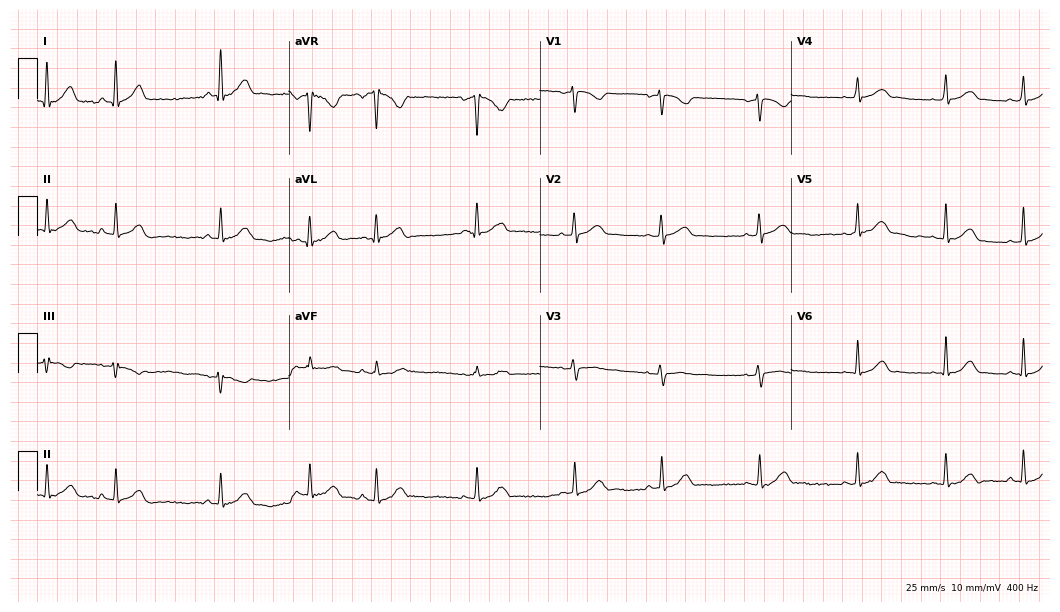
12-lead ECG from an 18-year-old woman. Screened for six findings — first-degree AV block, right bundle branch block, left bundle branch block, sinus bradycardia, atrial fibrillation, sinus tachycardia — none is recorded. Other findings, if any, are not listed.